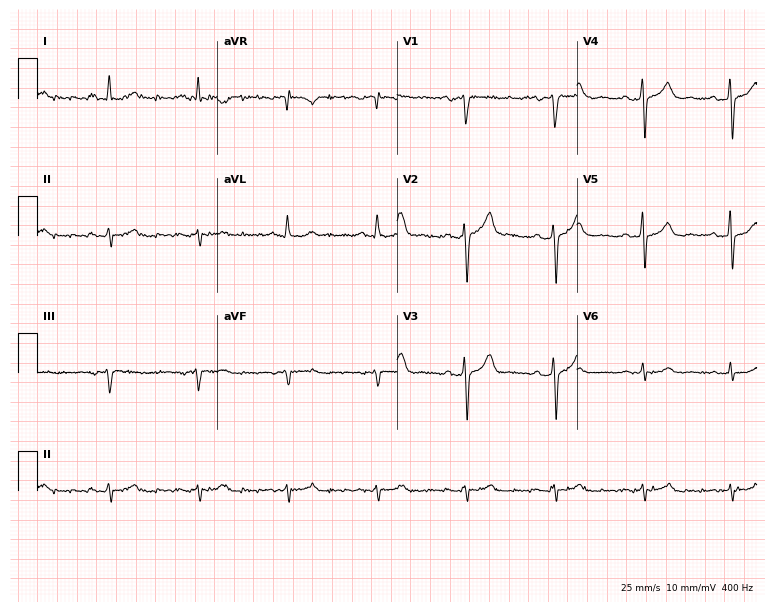
12-lead ECG from a male patient, 69 years old. No first-degree AV block, right bundle branch block, left bundle branch block, sinus bradycardia, atrial fibrillation or sinus tachycardia recorded for this tracing. Other findings, if any, are not listed.